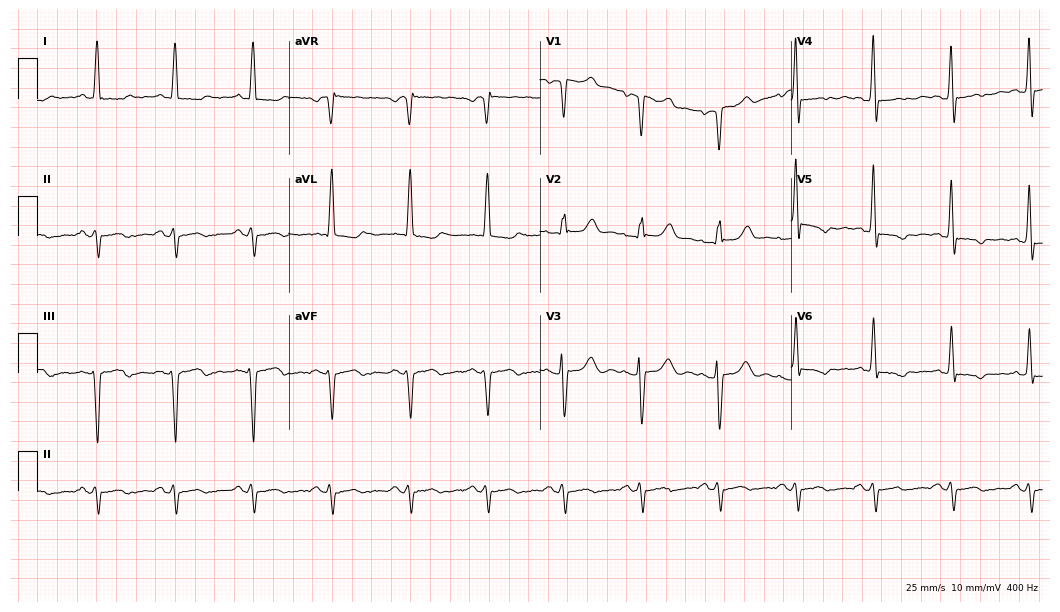
Electrocardiogram (10.2-second recording at 400 Hz), a male, 60 years old. Of the six screened findings (first-degree AV block, right bundle branch block, left bundle branch block, sinus bradycardia, atrial fibrillation, sinus tachycardia), none is recorded.